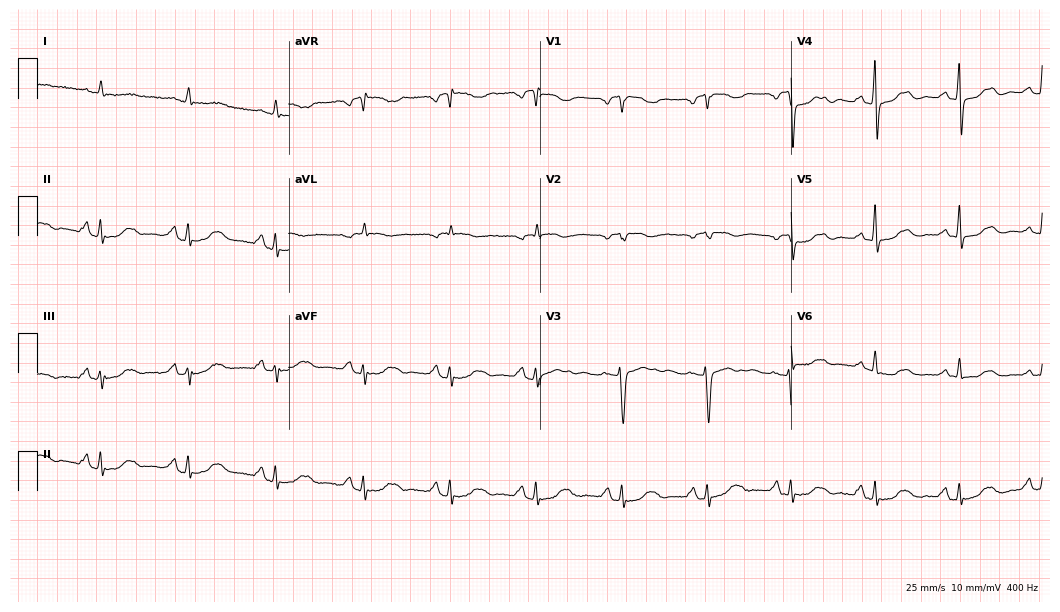
ECG — a 70-year-old woman. Labelled as a normal ECG.